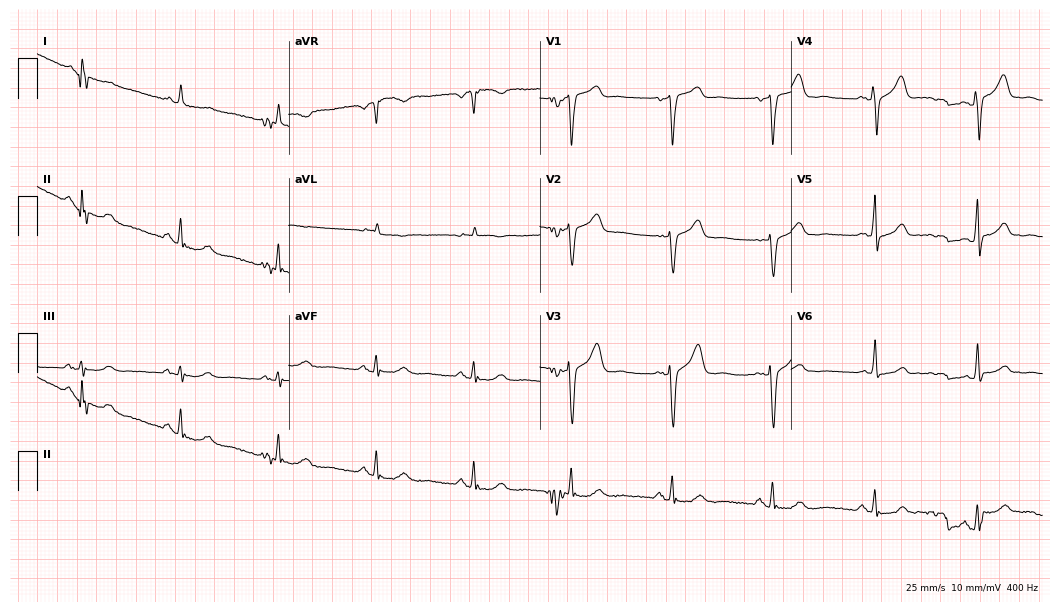
Standard 12-lead ECG recorded from a 71-year-old male. None of these six findings is recorded: first-degree AV block, right bundle branch block, left bundle branch block, sinus bradycardia, atrial fibrillation, sinus tachycardia.